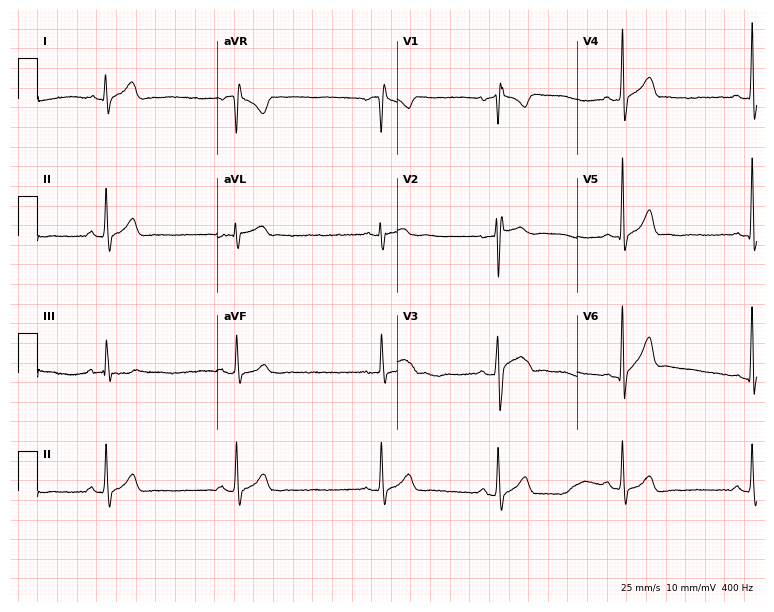
12-lead ECG from a male patient, 22 years old (7.3-second recording at 400 Hz). No first-degree AV block, right bundle branch block (RBBB), left bundle branch block (LBBB), sinus bradycardia, atrial fibrillation (AF) or sinus tachycardia recorded for this tracing.